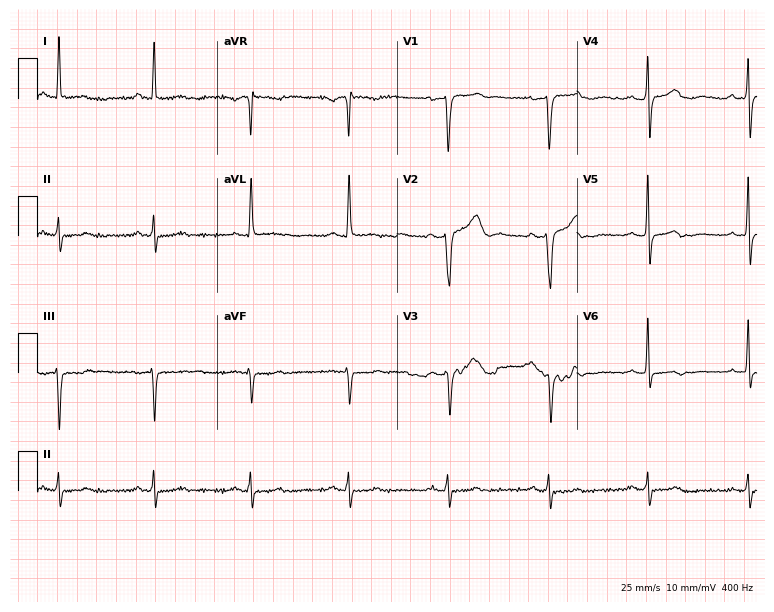
Resting 12-lead electrocardiogram (7.3-second recording at 400 Hz). Patient: a female, 74 years old. None of these six findings is recorded: first-degree AV block, right bundle branch block, left bundle branch block, sinus bradycardia, atrial fibrillation, sinus tachycardia.